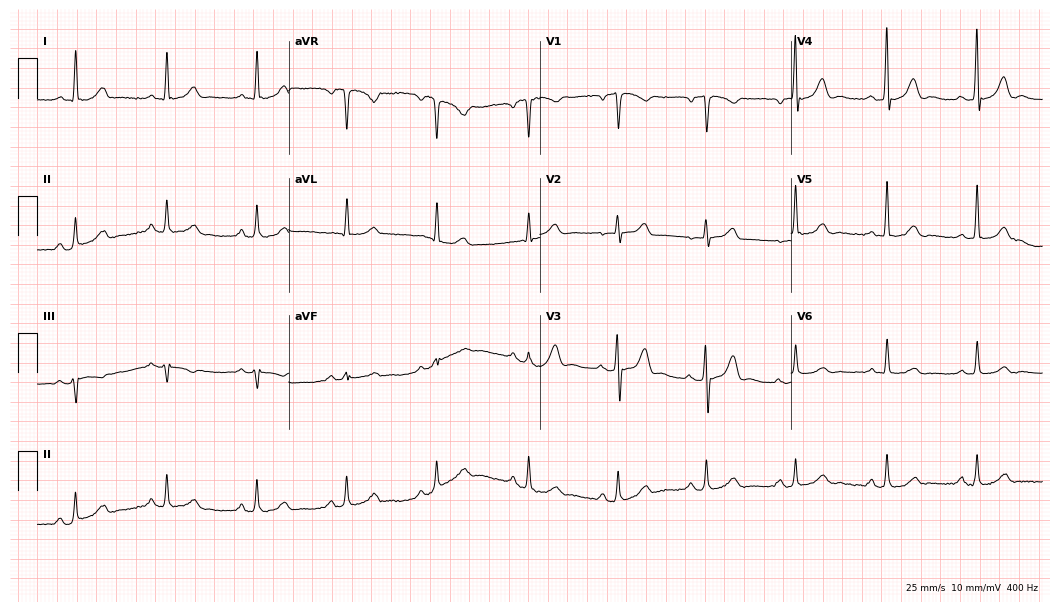
12-lead ECG from a male patient, 71 years old. No first-degree AV block, right bundle branch block (RBBB), left bundle branch block (LBBB), sinus bradycardia, atrial fibrillation (AF) or sinus tachycardia recorded for this tracing. Only these six findings were labelled.